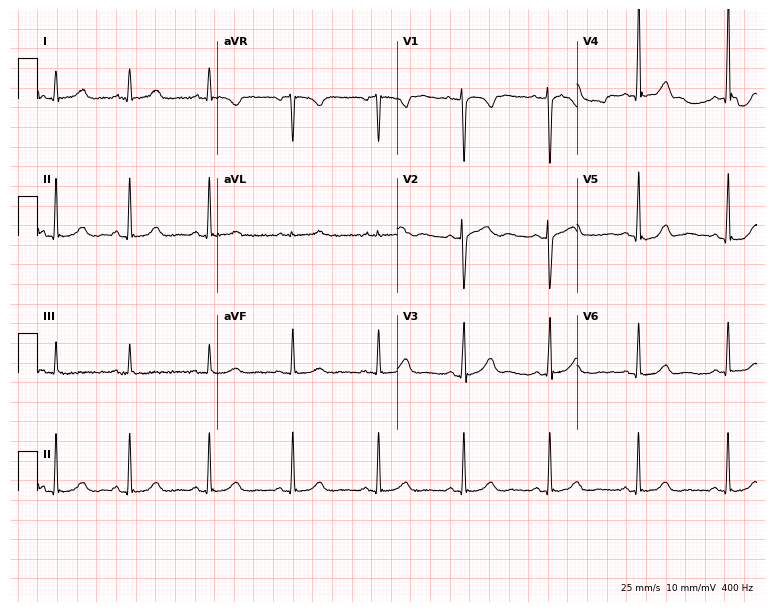
ECG — a female, 23 years old. Screened for six findings — first-degree AV block, right bundle branch block (RBBB), left bundle branch block (LBBB), sinus bradycardia, atrial fibrillation (AF), sinus tachycardia — none is recorded. Other findings, if any, are not listed.